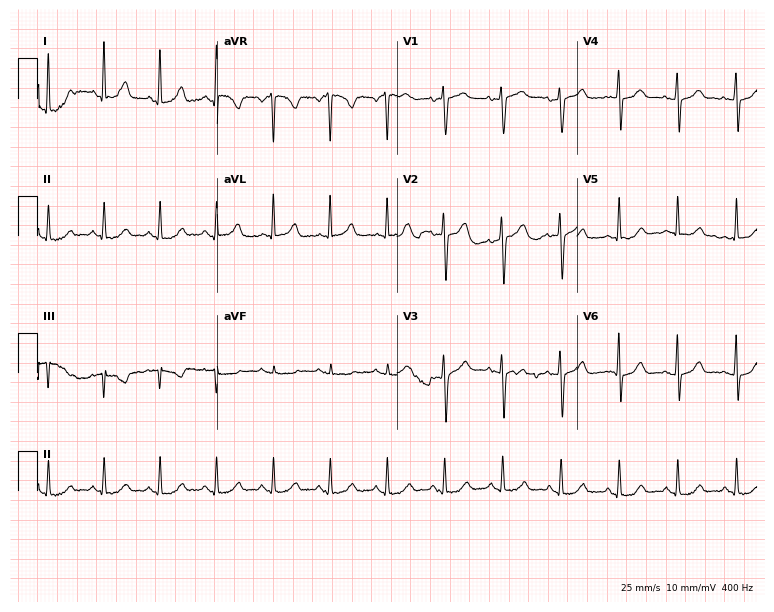
Standard 12-lead ECG recorded from a female patient, 55 years old (7.3-second recording at 400 Hz). Read as a normal ECG.